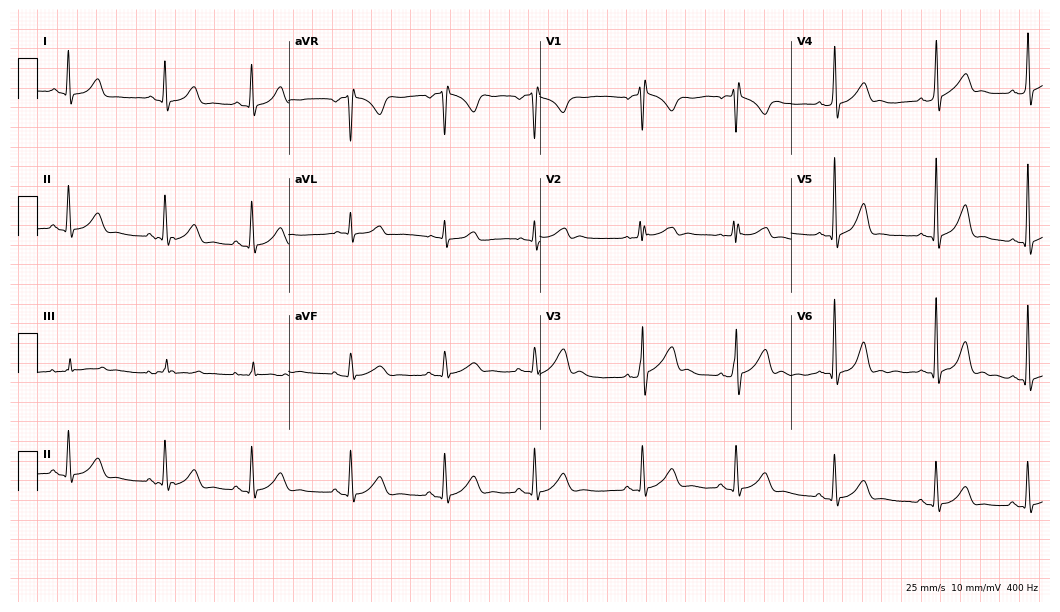
12-lead ECG from a 27-year-old female (10.2-second recording at 400 Hz). No first-degree AV block, right bundle branch block, left bundle branch block, sinus bradycardia, atrial fibrillation or sinus tachycardia recorded for this tracing. Only these six findings were labelled.